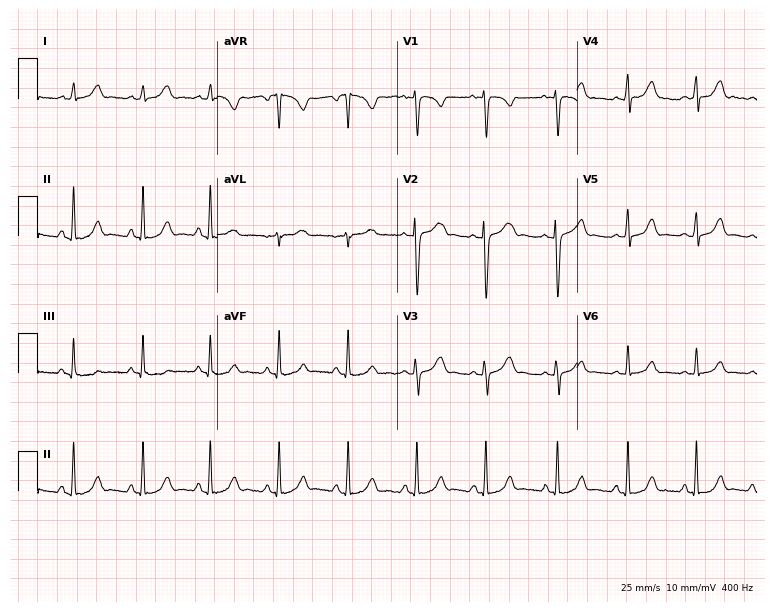
ECG — a 17-year-old woman. Screened for six findings — first-degree AV block, right bundle branch block (RBBB), left bundle branch block (LBBB), sinus bradycardia, atrial fibrillation (AF), sinus tachycardia — none is recorded. Findings outside these six are not listed.